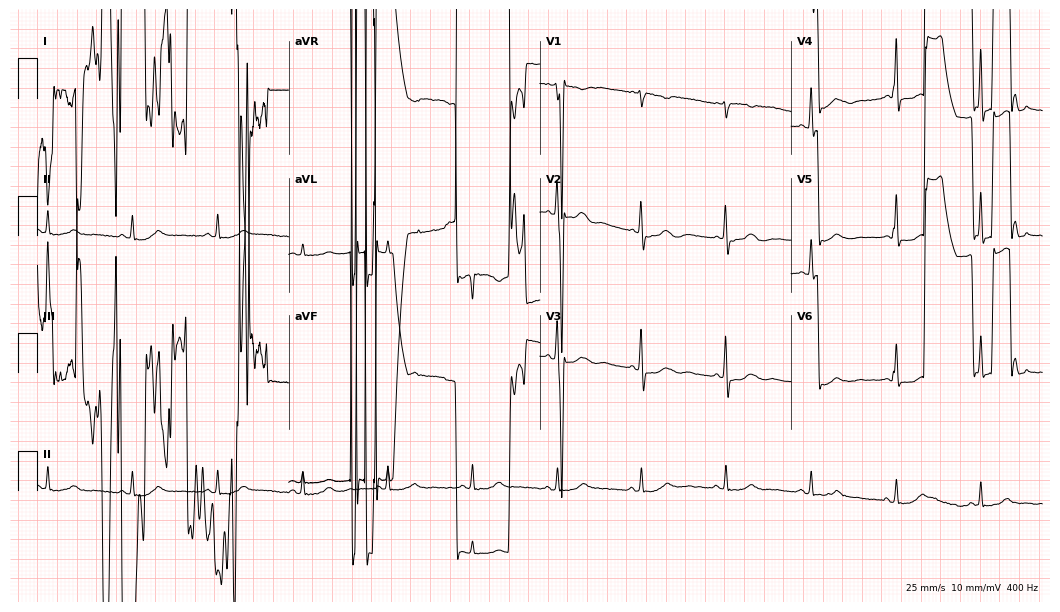
Electrocardiogram, a female patient, 66 years old. Of the six screened findings (first-degree AV block, right bundle branch block, left bundle branch block, sinus bradycardia, atrial fibrillation, sinus tachycardia), none is recorded. Other findings, if any, are not listed.